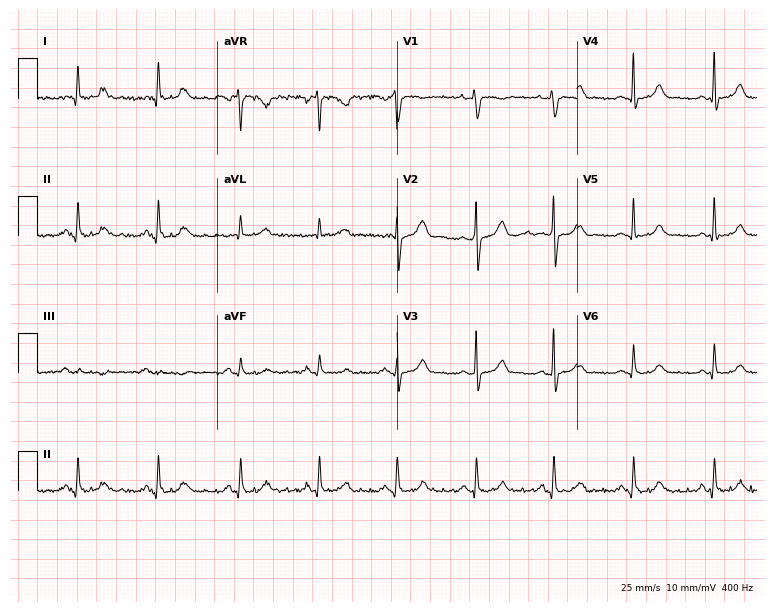
Electrocardiogram, a female patient, 49 years old. Overall reading on record: normal ECG.